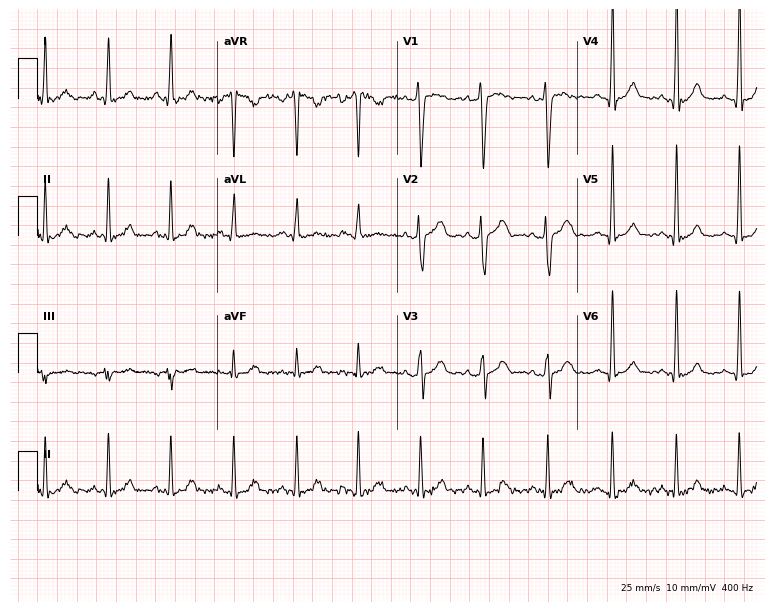
Electrocardiogram, a 40-year-old woman. Overall reading on record: normal ECG.